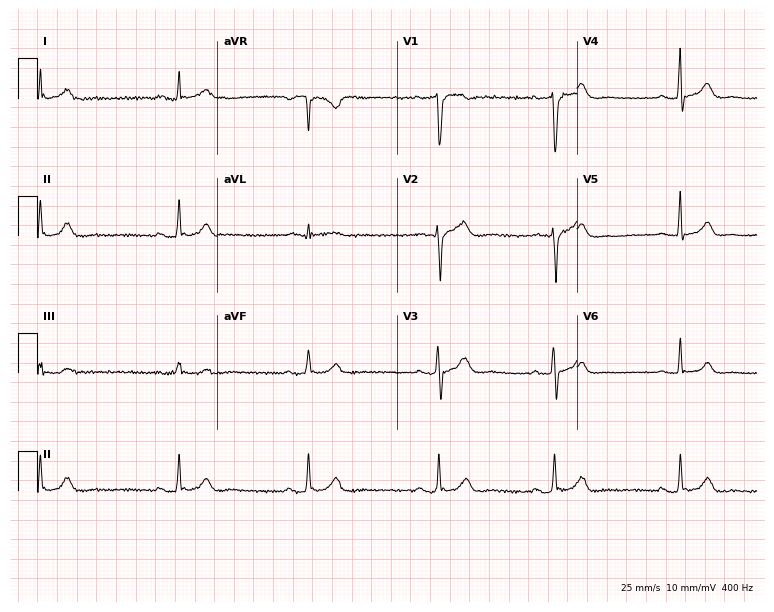
Electrocardiogram (7.3-second recording at 400 Hz), a 31-year-old male patient. Overall reading on record: normal ECG.